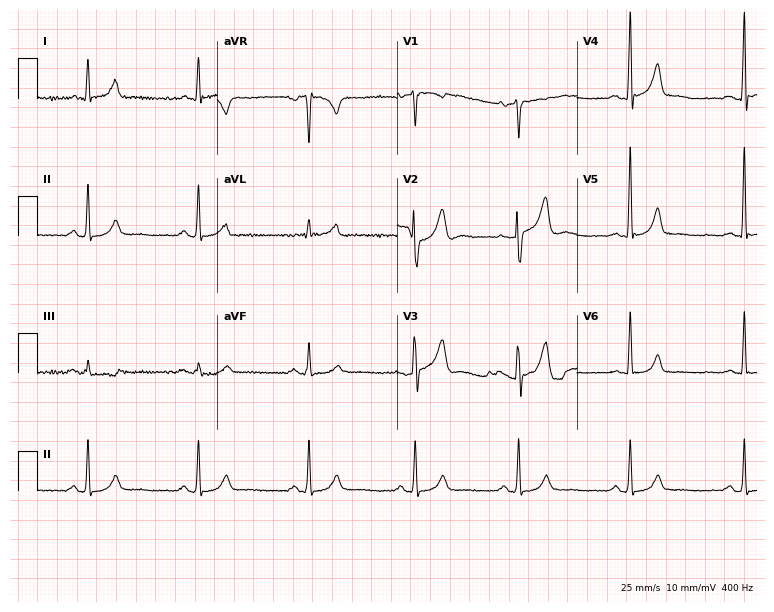
Electrocardiogram, a 38-year-old male. Overall reading on record: normal ECG.